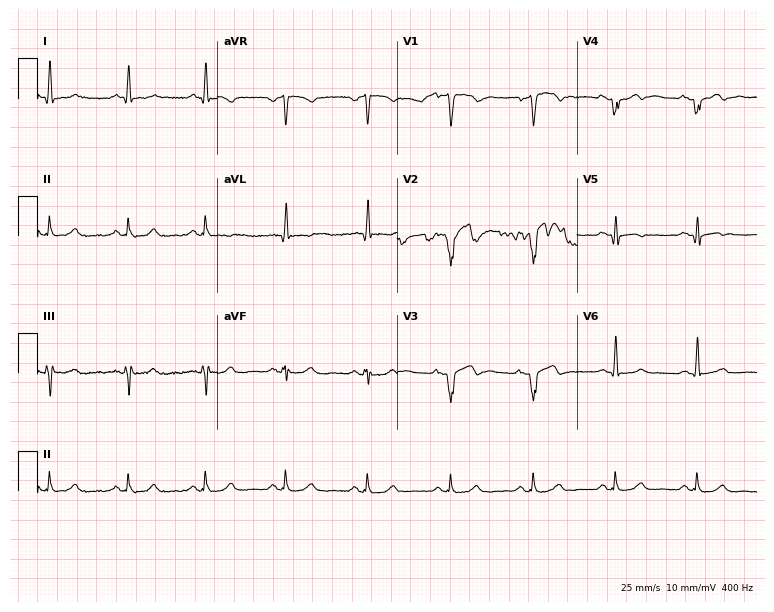
12-lead ECG from a 52-year-old male (7.3-second recording at 400 Hz). No first-degree AV block, right bundle branch block, left bundle branch block, sinus bradycardia, atrial fibrillation or sinus tachycardia recorded for this tracing. Only these six findings were labelled.